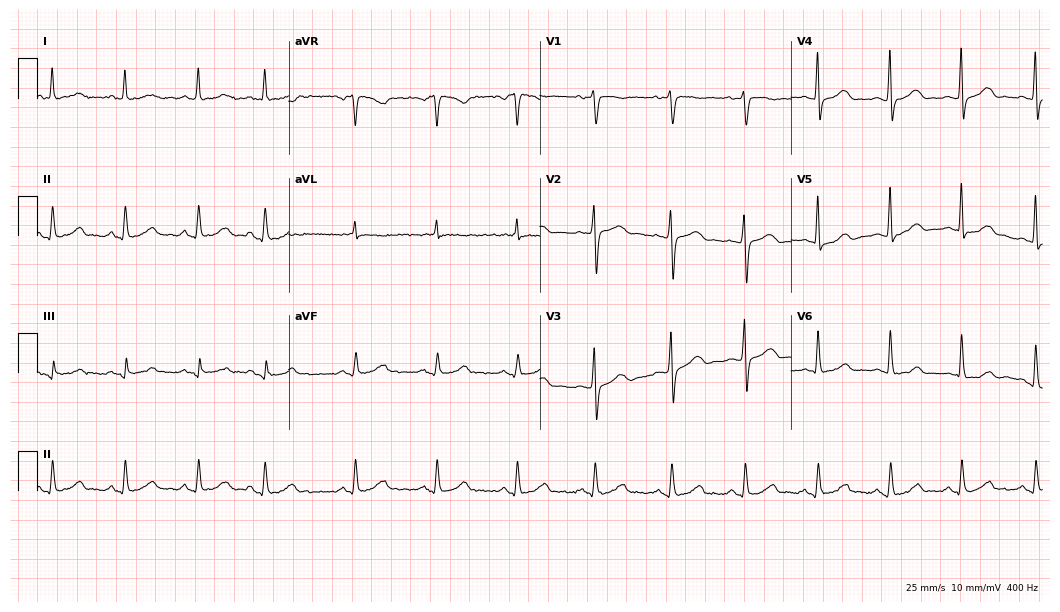
Standard 12-lead ECG recorded from a 60-year-old woman. Read as a normal ECG.